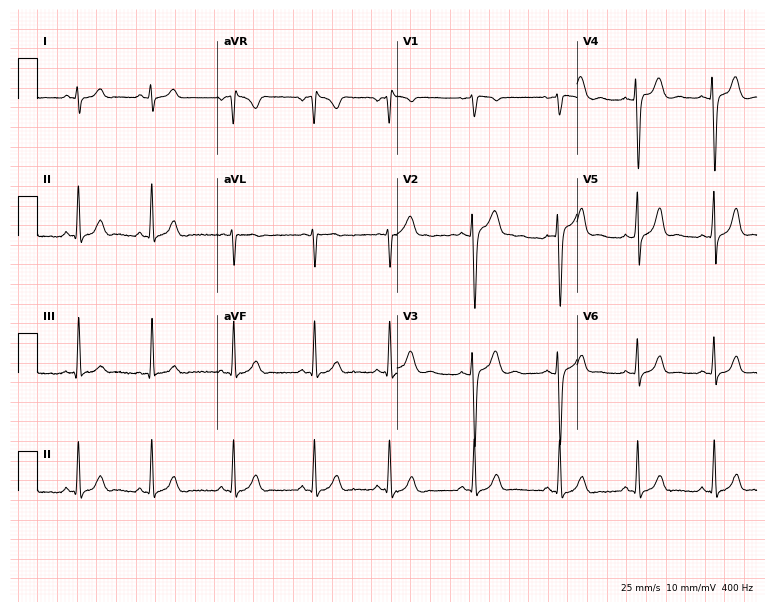
12-lead ECG from a female, 18 years old. Labelled as a normal ECG.